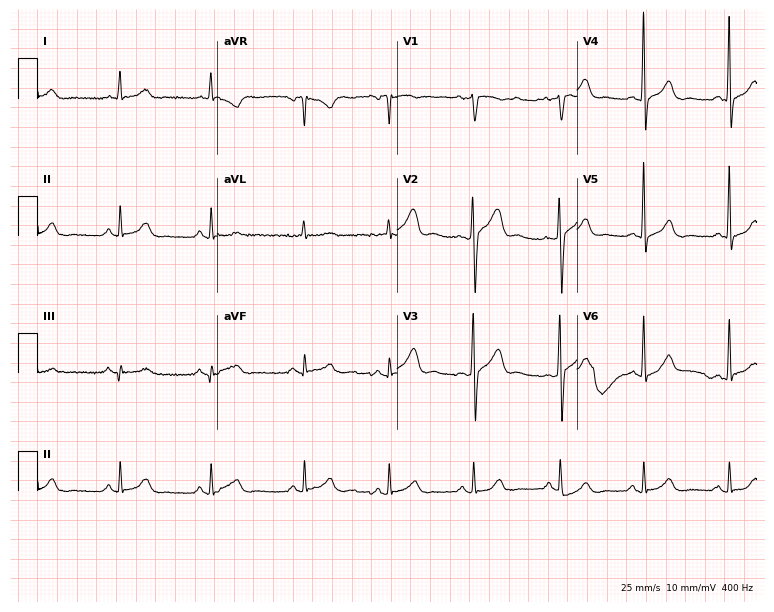
12-lead ECG (7.3-second recording at 400 Hz) from a man, 58 years old. Labelled as a normal ECG.